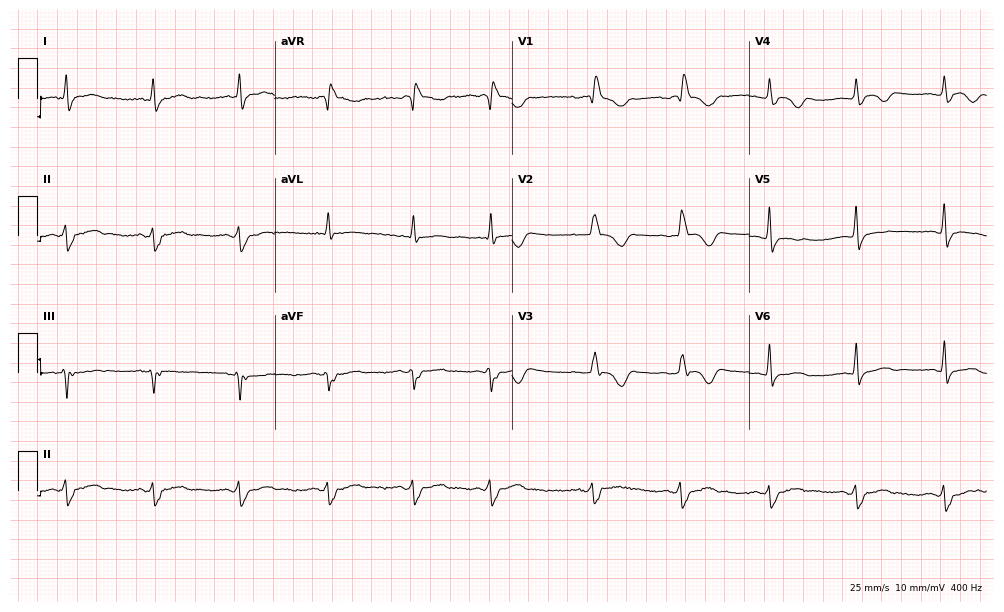
Electrocardiogram, a woman, 40 years old. Interpretation includes right bundle branch block.